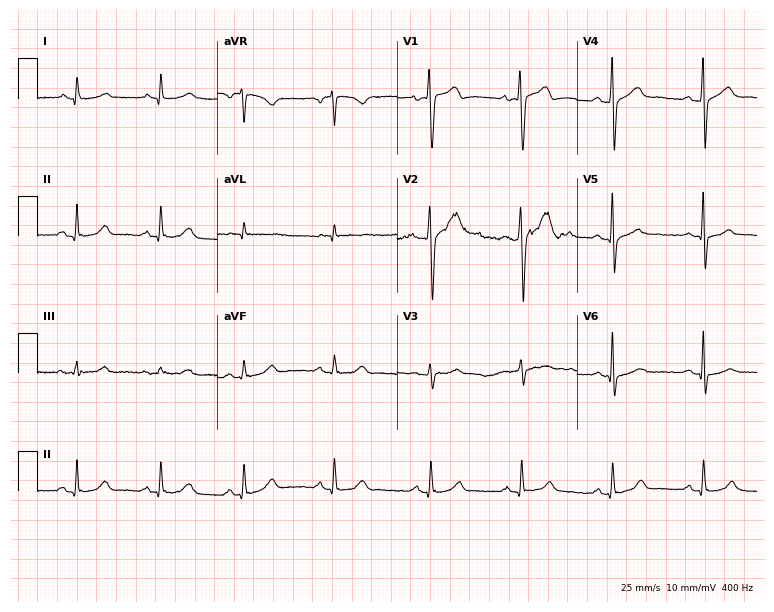
Electrocardiogram, a 45-year-old male. Overall reading on record: normal ECG.